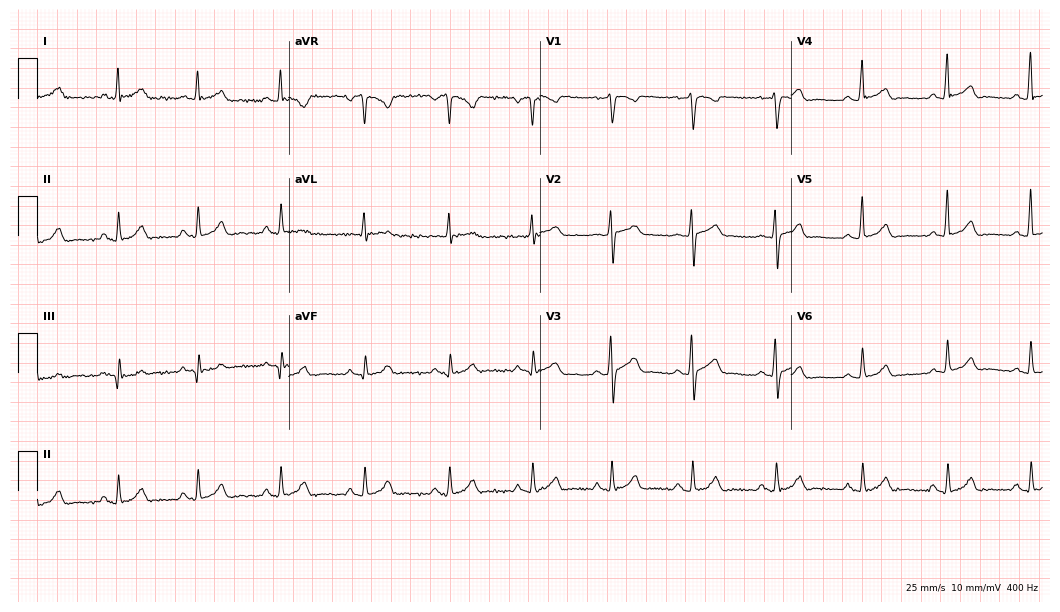
Electrocardiogram, a male, 34 years old. Overall reading on record: normal ECG.